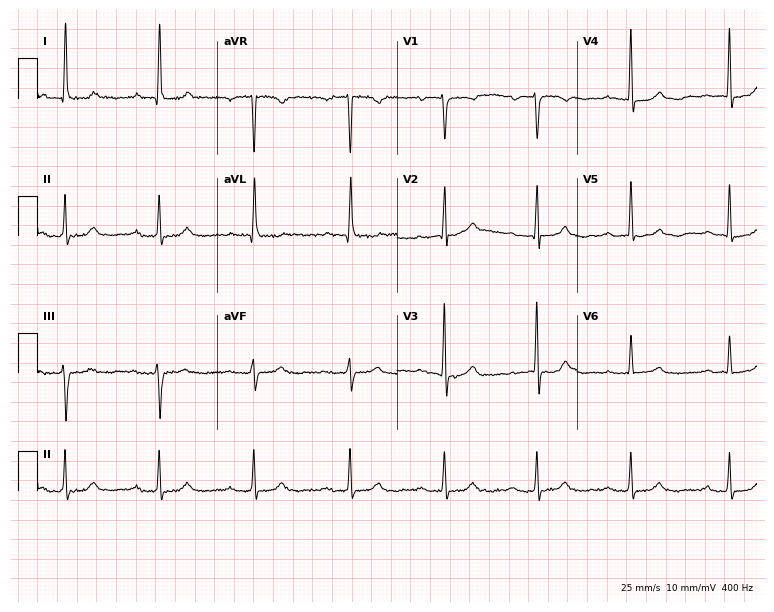
Resting 12-lead electrocardiogram (7.3-second recording at 400 Hz). Patient: a woman, 80 years old. None of these six findings is recorded: first-degree AV block, right bundle branch block, left bundle branch block, sinus bradycardia, atrial fibrillation, sinus tachycardia.